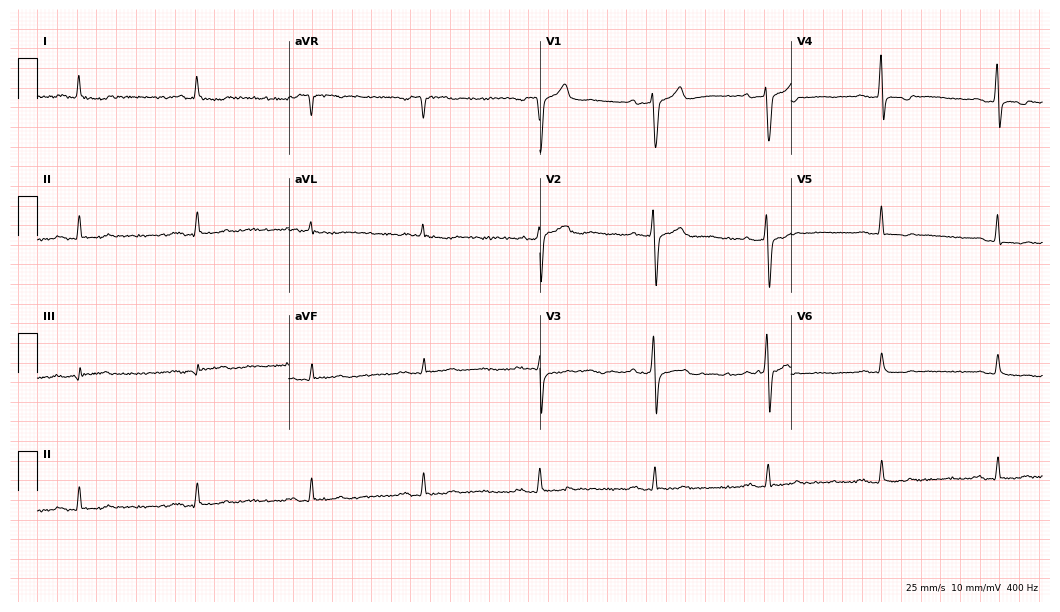
Resting 12-lead electrocardiogram (10.2-second recording at 400 Hz). Patient: a man, 55 years old. The tracing shows first-degree AV block.